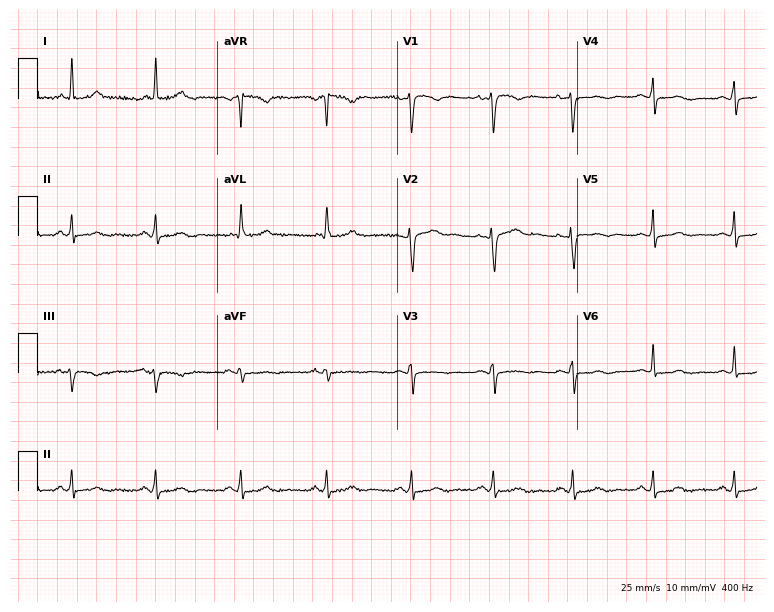
Resting 12-lead electrocardiogram. Patient: a female, 37 years old. None of these six findings is recorded: first-degree AV block, right bundle branch block, left bundle branch block, sinus bradycardia, atrial fibrillation, sinus tachycardia. Only these six findings were labelled.